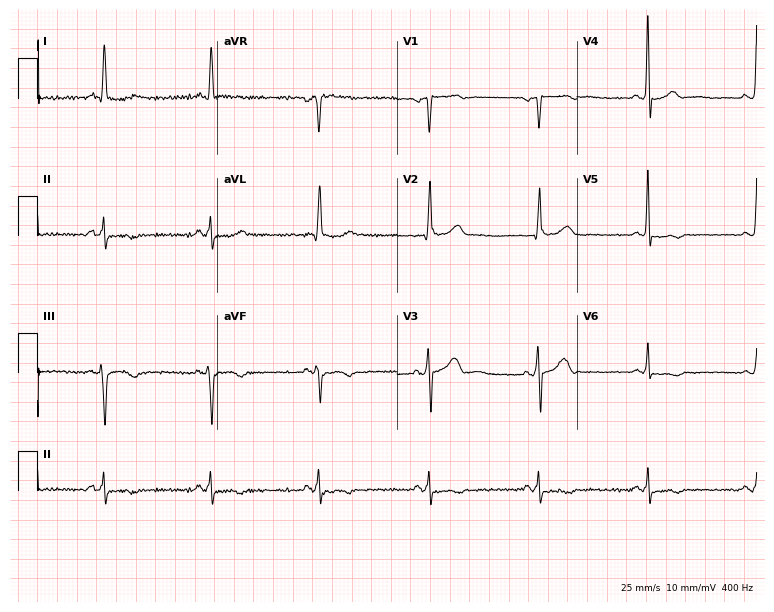
Resting 12-lead electrocardiogram (7.3-second recording at 400 Hz). Patient: a man, 68 years old. None of these six findings is recorded: first-degree AV block, right bundle branch block (RBBB), left bundle branch block (LBBB), sinus bradycardia, atrial fibrillation (AF), sinus tachycardia.